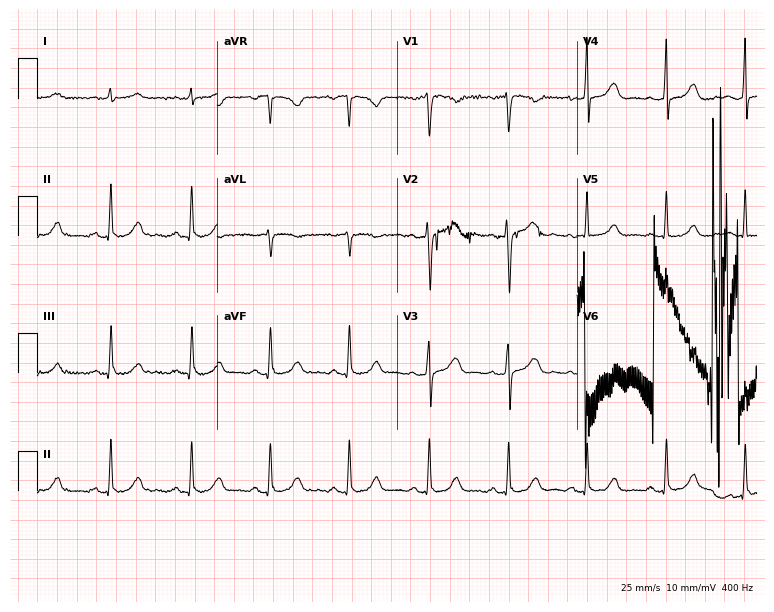
12-lead ECG (7.3-second recording at 400 Hz) from a 41-year-old woman. Screened for six findings — first-degree AV block, right bundle branch block, left bundle branch block, sinus bradycardia, atrial fibrillation, sinus tachycardia — none is recorded.